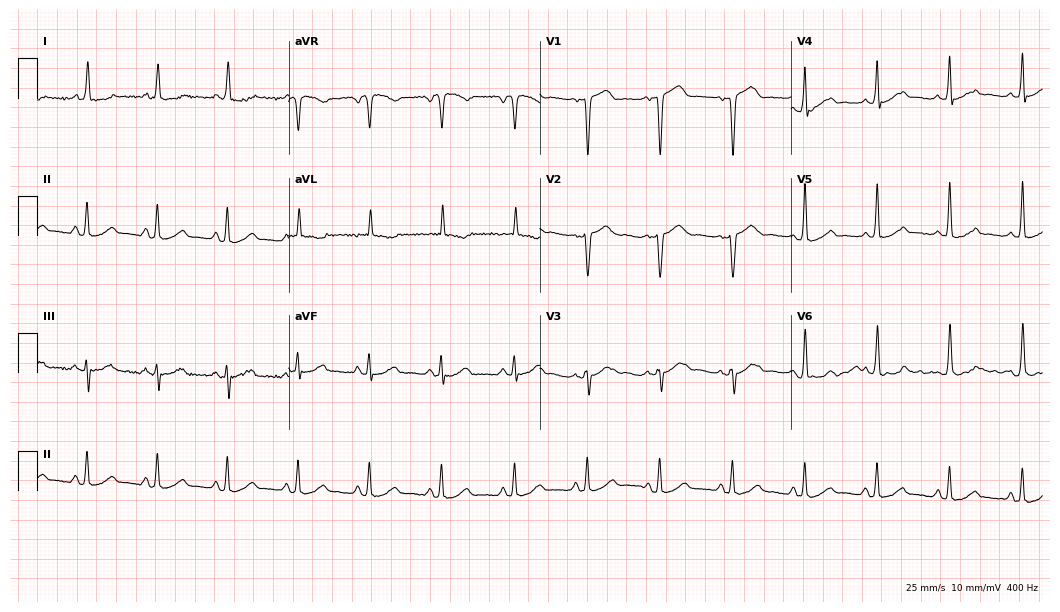
Resting 12-lead electrocardiogram. Patient: a female, 59 years old. None of these six findings is recorded: first-degree AV block, right bundle branch block, left bundle branch block, sinus bradycardia, atrial fibrillation, sinus tachycardia.